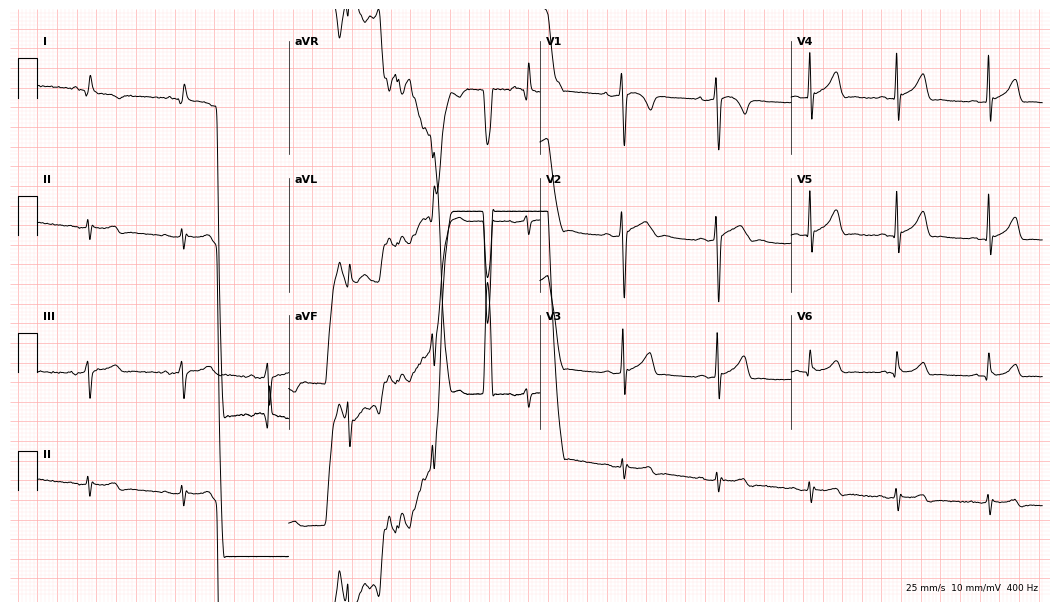
12-lead ECG from a man, 21 years old (10.2-second recording at 400 Hz). No first-degree AV block, right bundle branch block (RBBB), left bundle branch block (LBBB), sinus bradycardia, atrial fibrillation (AF) or sinus tachycardia recorded for this tracing.